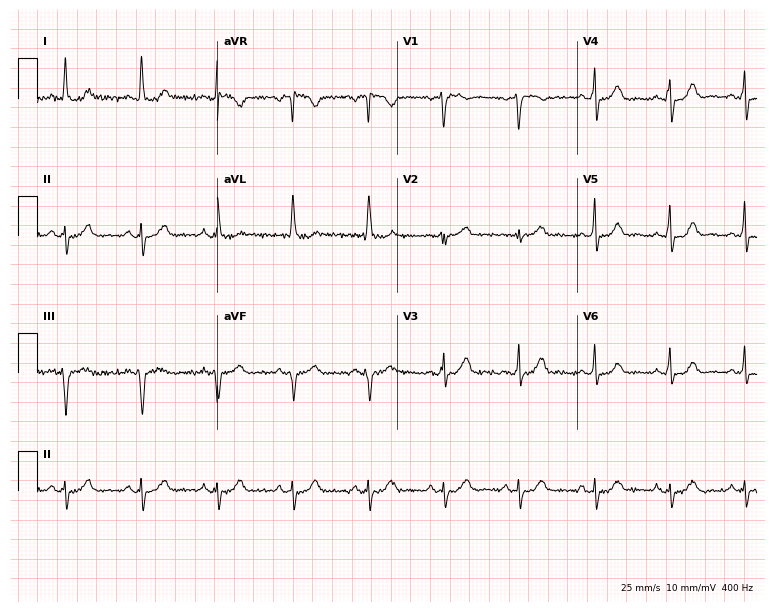
Standard 12-lead ECG recorded from a woman, 74 years old (7.3-second recording at 400 Hz). None of these six findings is recorded: first-degree AV block, right bundle branch block, left bundle branch block, sinus bradycardia, atrial fibrillation, sinus tachycardia.